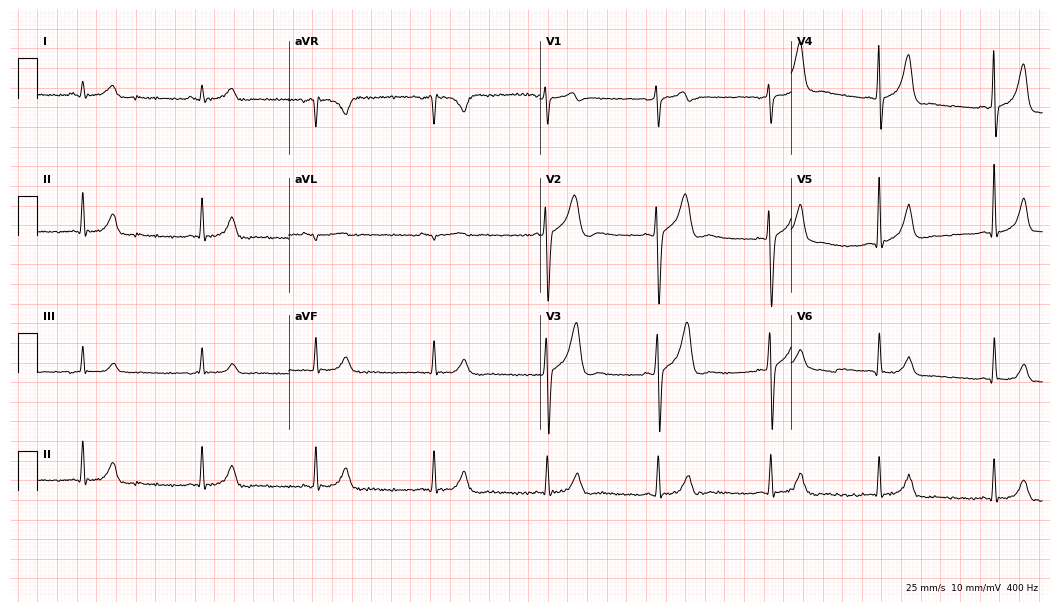
12-lead ECG from a 43-year-old male (10.2-second recording at 400 Hz). No first-degree AV block, right bundle branch block, left bundle branch block, sinus bradycardia, atrial fibrillation or sinus tachycardia recorded for this tracing.